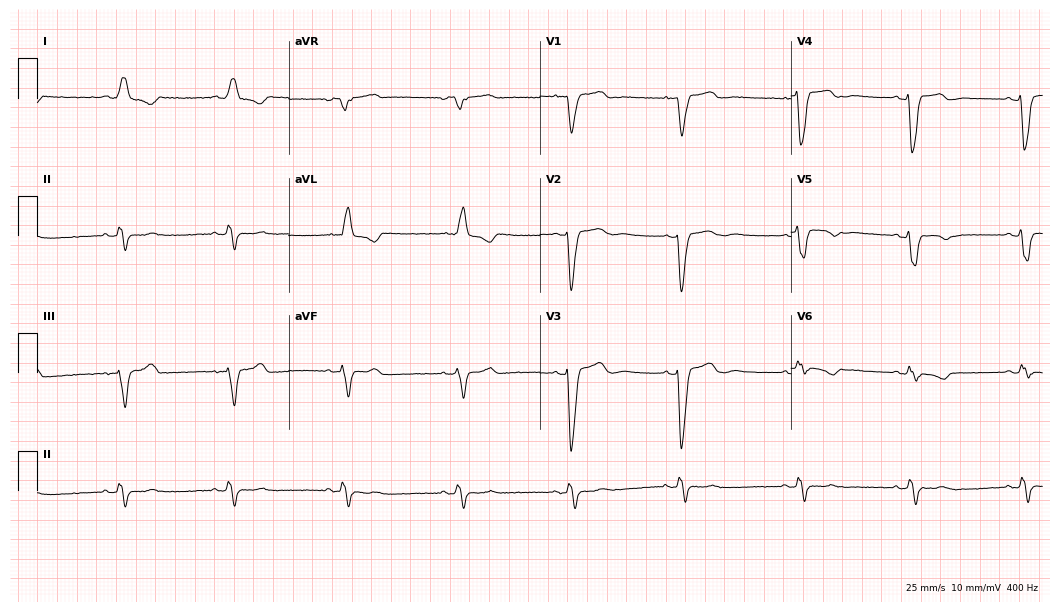
Electrocardiogram, a female patient, 52 years old. Interpretation includes left bundle branch block.